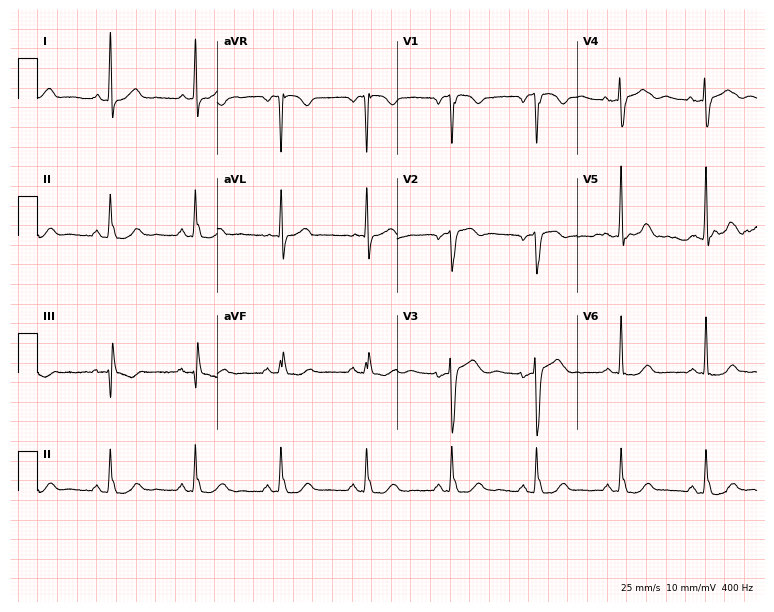
ECG (7.3-second recording at 400 Hz) — a 79-year-old female patient. Labelled as a normal ECG.